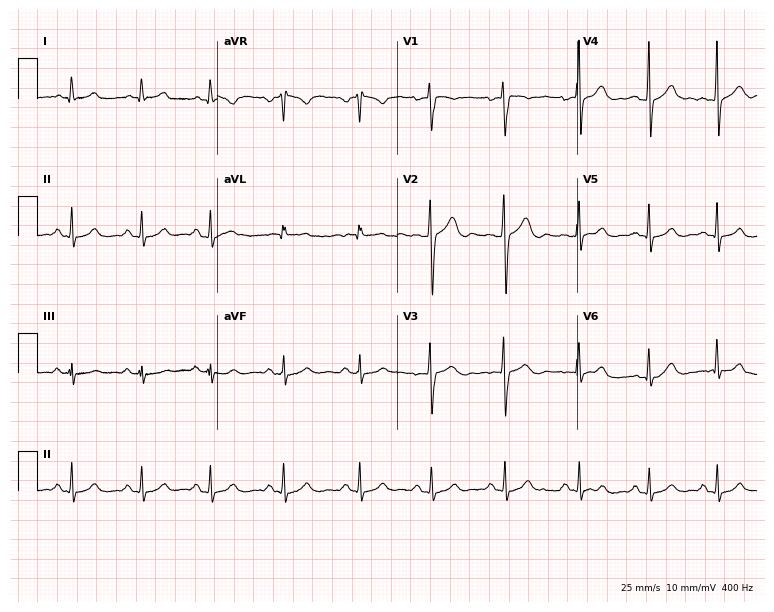
12-lead ECG from a 28-year-old female patient. Labelled as a normal ECG.